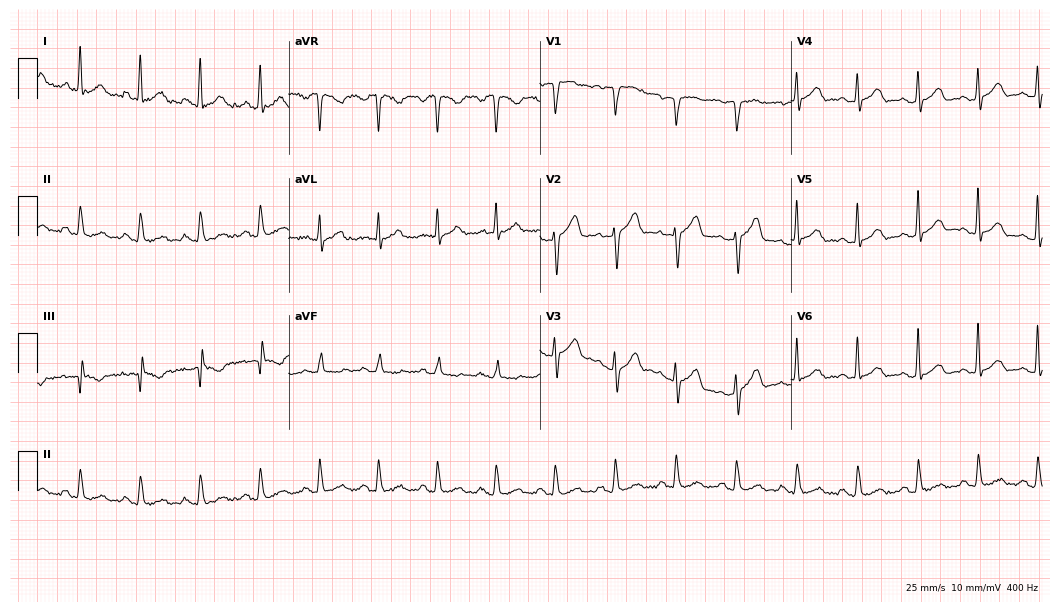
12-lead ECG from a male patient, 50 years old. Screened for six findings — first-degree AV block, right bundle branch block, left bundle branch block, sinus bradycardia, atrial fibrillation, sinus tachycardia — none is recorded.